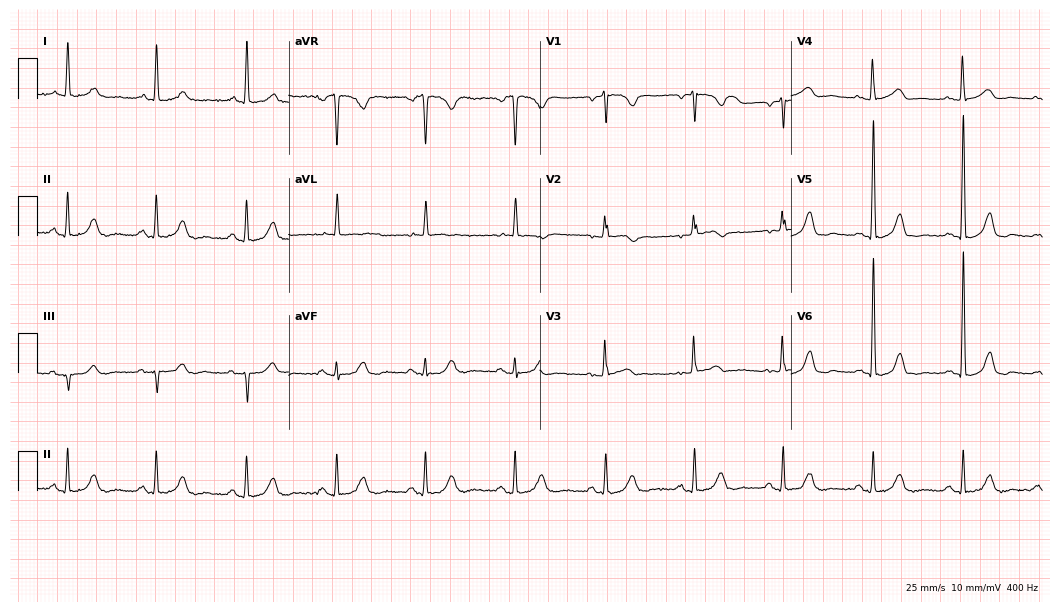
12-lead ECG from a woman, 80 years old. No first-degree AV block, right bundle branch block (RBBB), left bundle branch block (LBBB), sinus bradycardia, atrial fibrillation (AF) or sinus tachycardia recorded for this tracing.